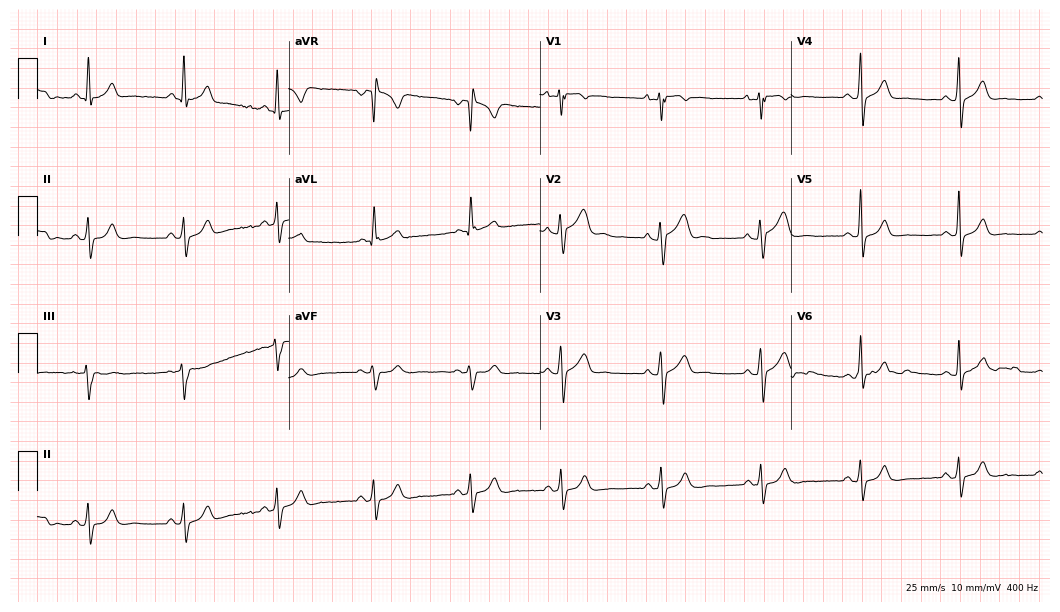
12-lead ECG from a 19-year-old man. No first-degree AV block, right bundle branch block (RBBB), left bundle branch block (LBBB), sinus bradycardia, atrial fibrillation (AF) or sinus tachycardia recorded for this tracing. Other findings, if any, are not listed.